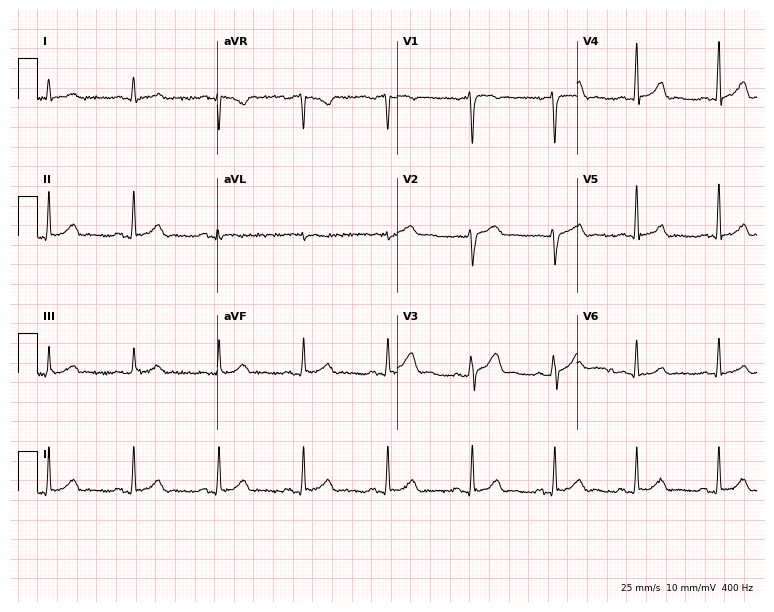
Electrocardiogram (7.3-second recording at 400 Hz), a male, 49 years old. Overall reading on record: normal ECG.